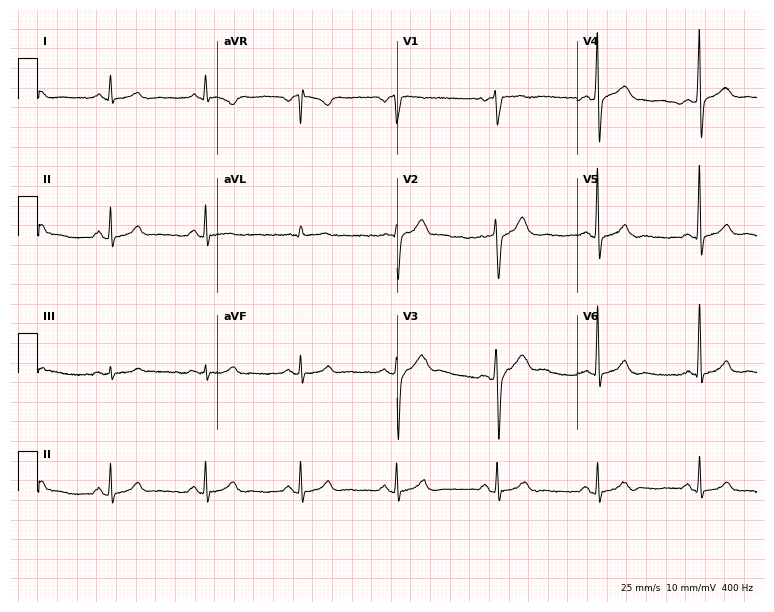
12-lead ECG from a male, 63 years old. Labelled as a normal ECG.